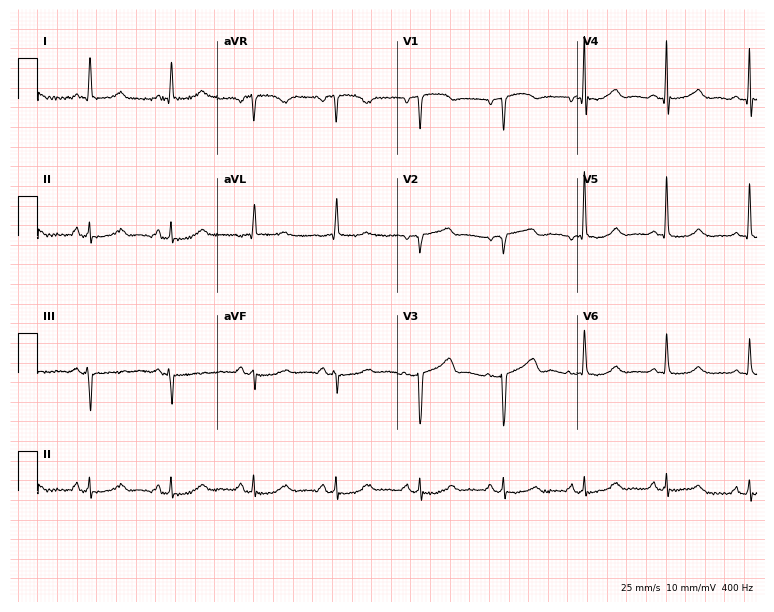
ECG (7.3-second recording at 400 Hz) — a female, 73 years old. Screened for six findings — first-degree AV block, right bundle branch block, left bundle branch block, sinus bradycardia, atrial fibrillation, sinus tachycardia — none is recorded. Only these six findings were labelled.